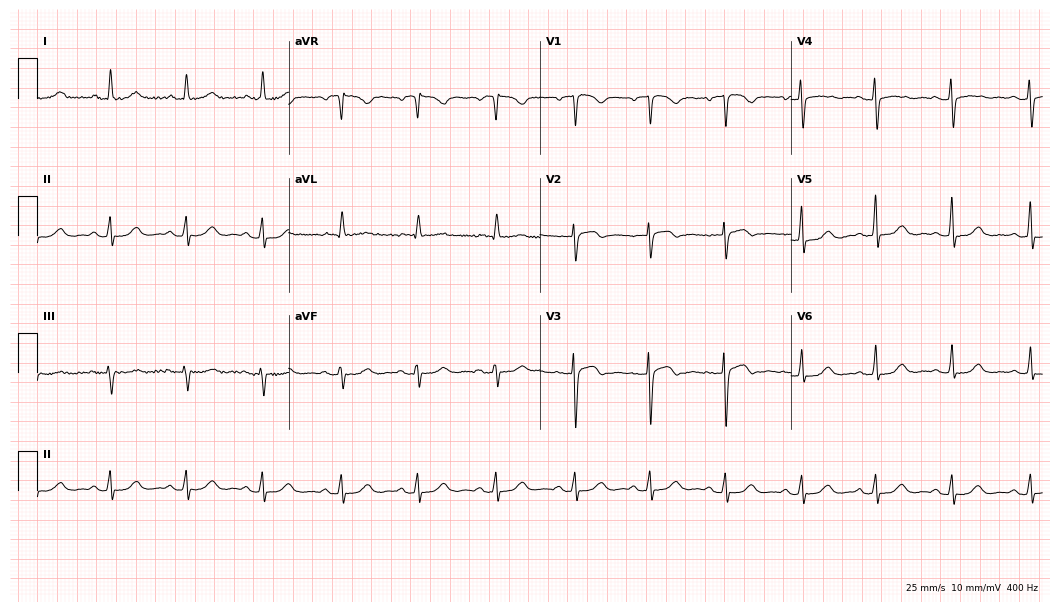
Electrocardiogram (10.2-second recording at 400 Hz), a female, 62 years old. Overall reading on record: normal ECG.